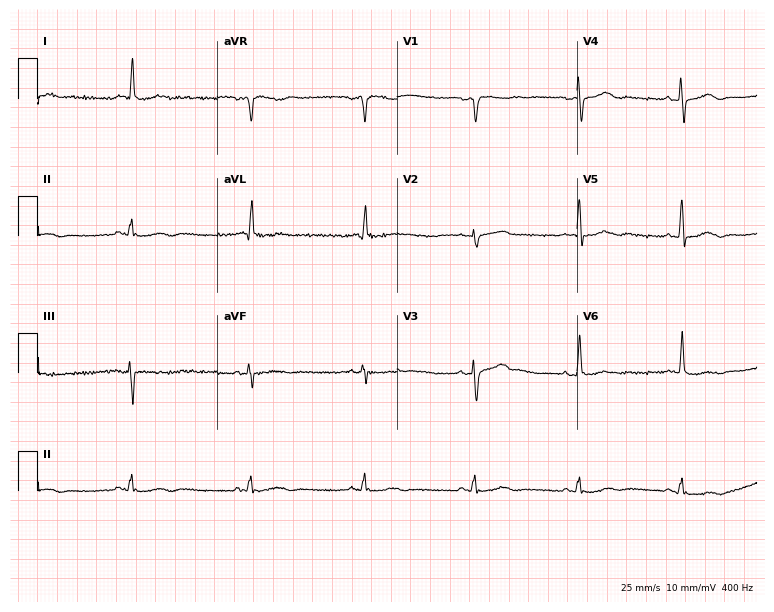
12-lead ECG from a 76-year-old female. No first-degree AV block, right bundle branch block (RBBB), left bundle branch block (LBBB), sinus bradycardia, atrial fibrillation (AF) or sinus tachycardia recorded for this tracing. Only these six findings were labelled.